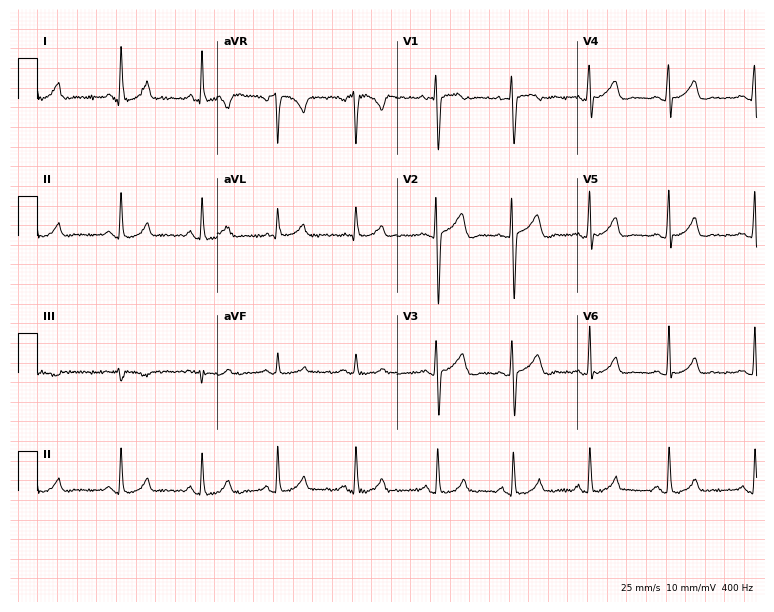
ECG — a female, 33 years old. Labelled as a normal ECG.